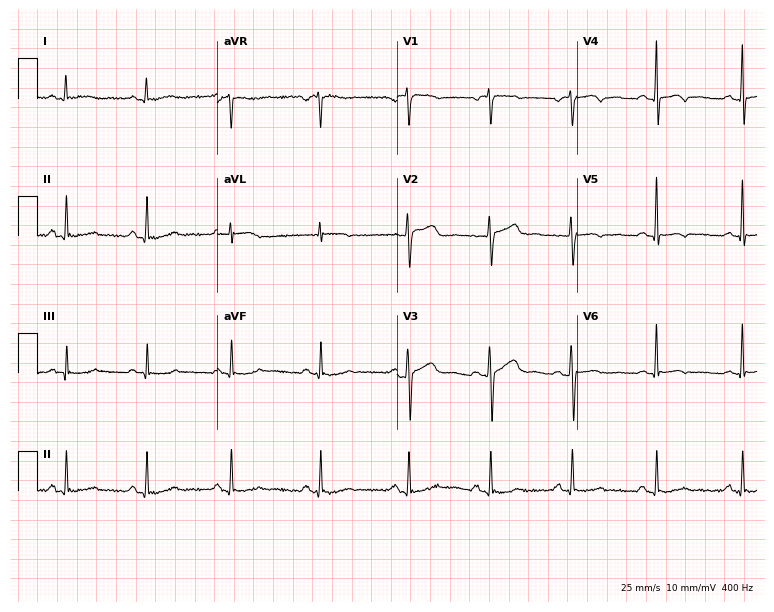
ECG — a woman, 39 years old. Screened for six findings — first-degree AV block, right bundle branch block (RBBB), left bundle branch block (LBBB), sinus bradycardia, atrial fibrillation (AF), sinus tachycardia — none is recorded.